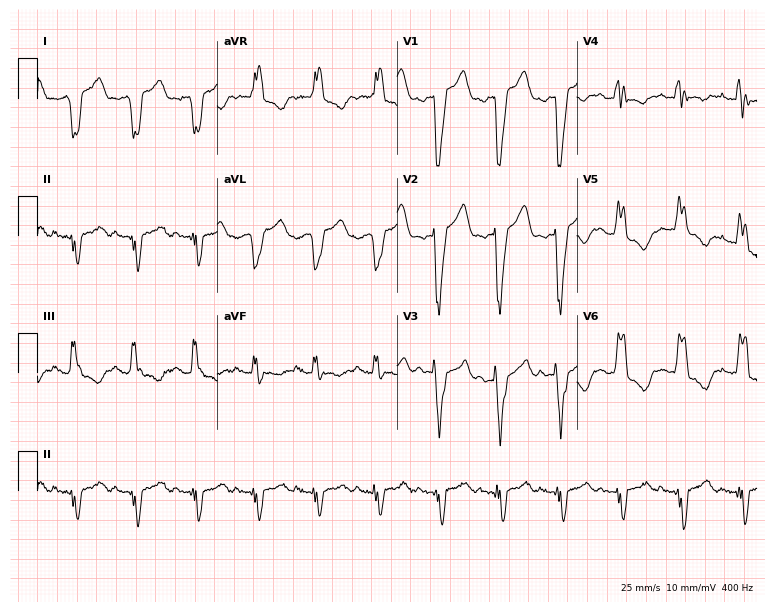
12-lead ECG from a male, 69 years old. Screened for six findings — first-degree AV block, right bundle branch block (RBBB), left bundle branch block (LBBB), sinus bradycardia, atrial fibrillation (AF), sinus tachycardia — none is recorded. Other findings, if any, are not listed.